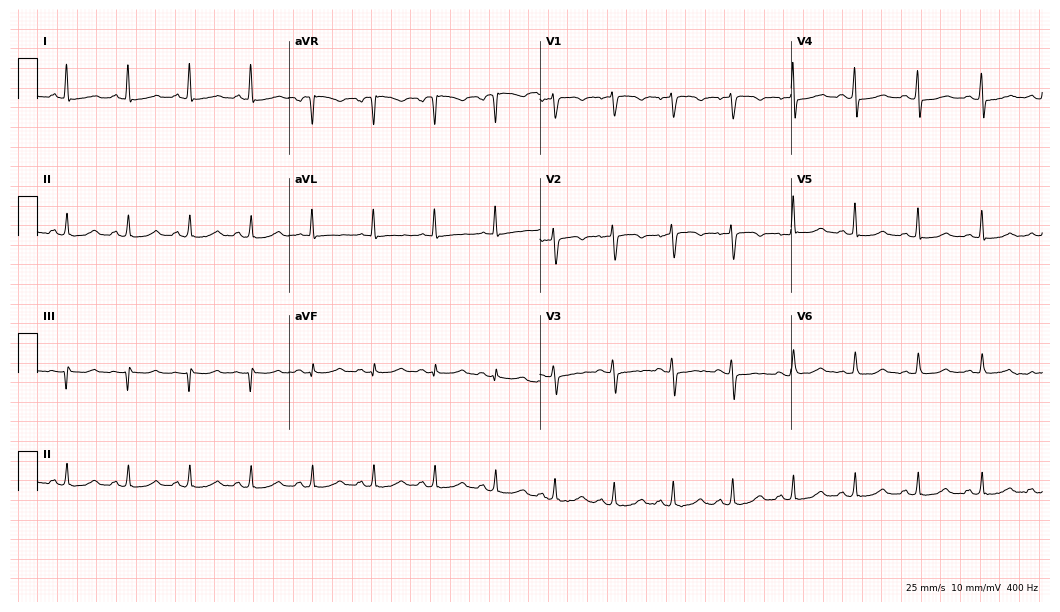
Electrocardiogram, a woman, 66 years old. Of the six screened findings (first-degree AV block, right bundle branch block (RBBB), left bundle branch block (LBBB), sinus bradycardia, atrial fibrillation (AF), sinus tachycardia), none is recorded. Only these six findings were labelled.